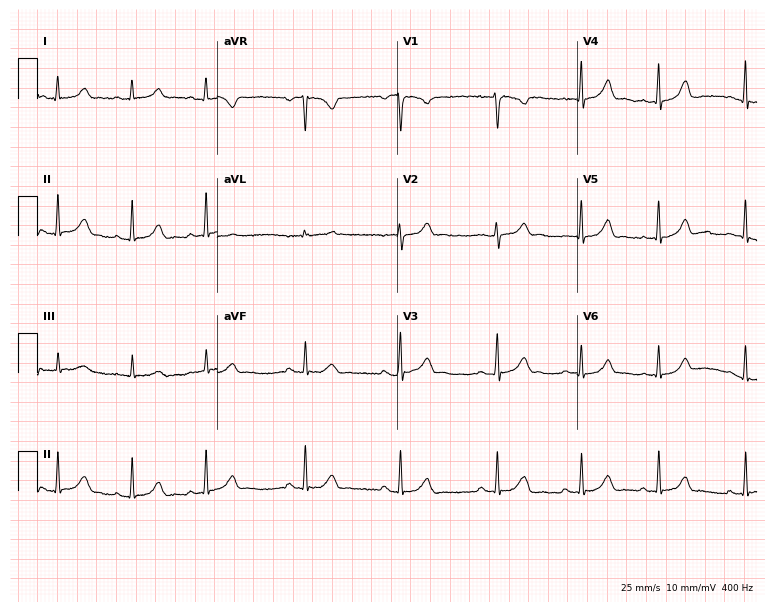
Standard 12-lead ECG recorded from a 20-year-old female patient. Read as a normal ECG.